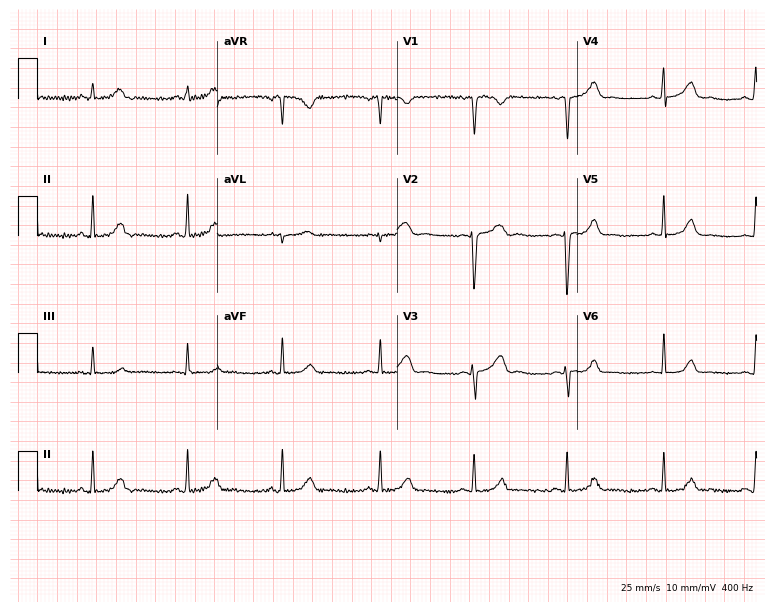
Resting 12-lead electrocardiogram (7.3-second recording at 400 Hz). Patient: a 28-year-old female. None of these six findings is recorded: first-degree AV block, right bundle branch block, left bundle branch block, sinus bradycardia, atrial fibrillation, sinus tachycardia.